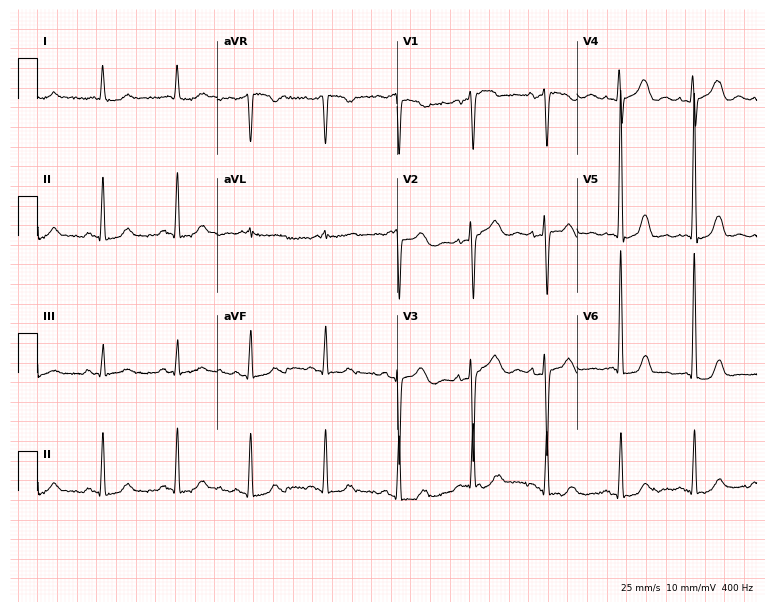
Resting 12-lead electrocardiogram (7.3-second recording at 400 Hz). Patient: a female, 80 years old. None of these six findings is recorded: first-degree AV block, right bundle branch block, left bundle branch block, sinus bradycardia, atrial fibrillation, sinus tachycardia.